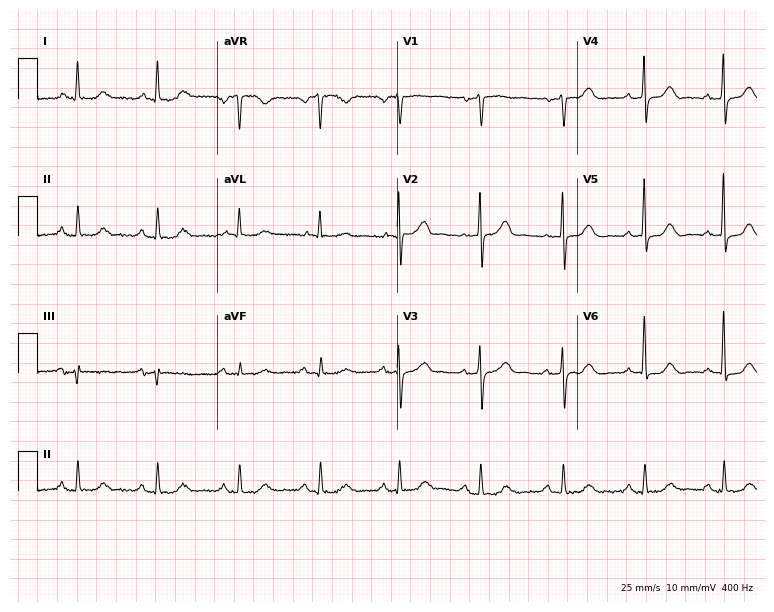
Electrocardiogram (7.3-second recording at 400 Hz), a 68-year-old woman. Overall reading on record: normal ECG.